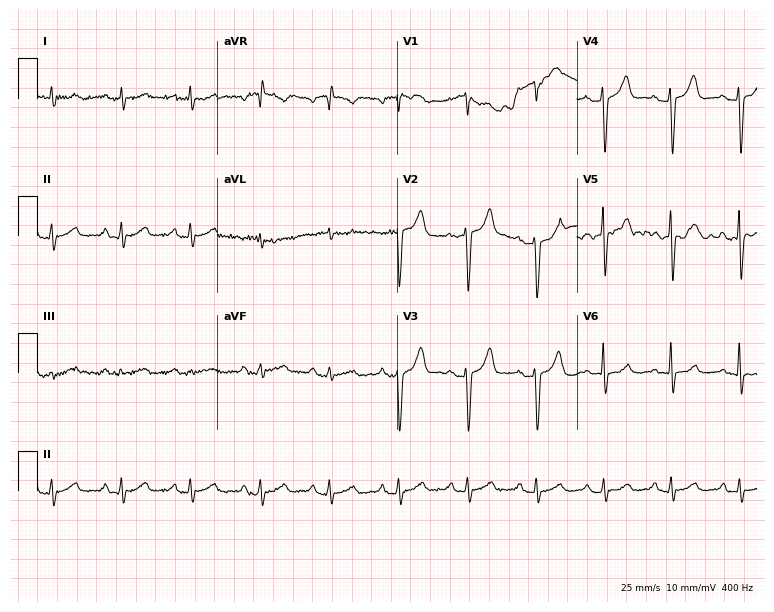
12-lead ECG (7.3-second recording at 400 Hz) from a male, 25 years old. Labelled as a normal ECG.